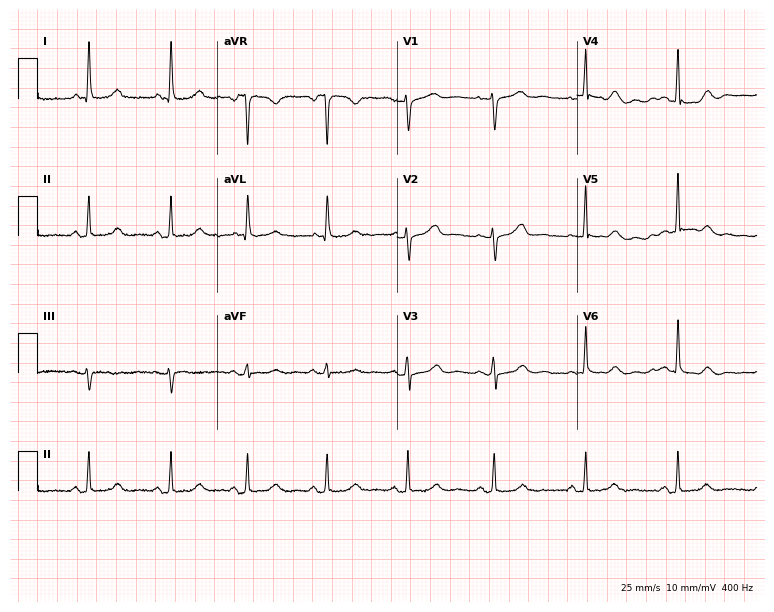
Standard 12-lead ECG recorded from a 68-year-old woman (7.3-second recording at 400 Hz). Read as a normal ECG.